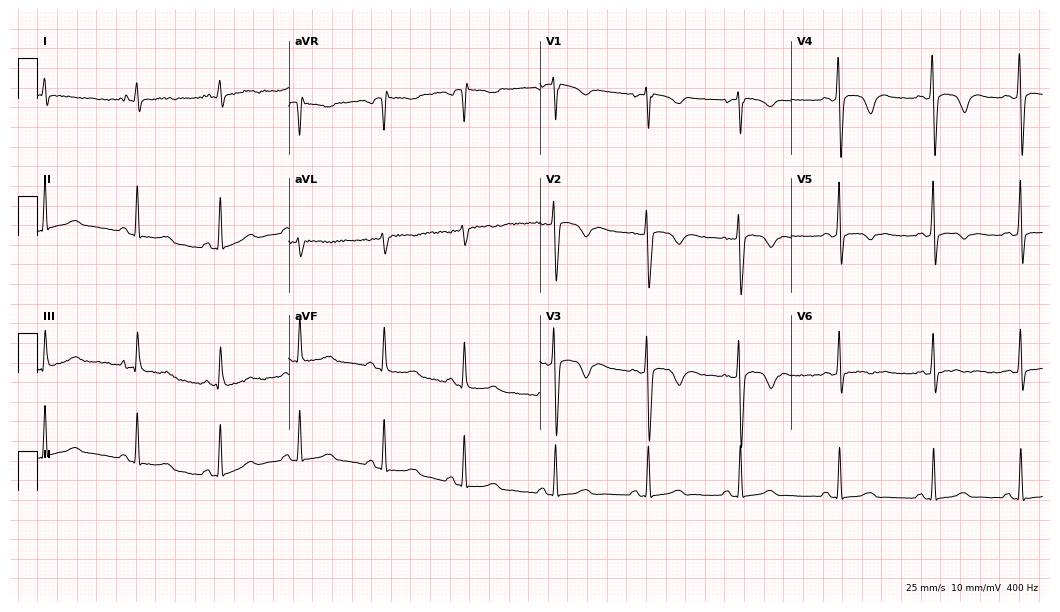
Electrocardiogram, a female, 25 years old. Of the six screened findings (first-degree AV block, right bundle branch block, left bundle branch block, sinus bradycardia, atrial fibrillation, sinus tachycardia), none is recorded. Other findings, if any, are not listed.